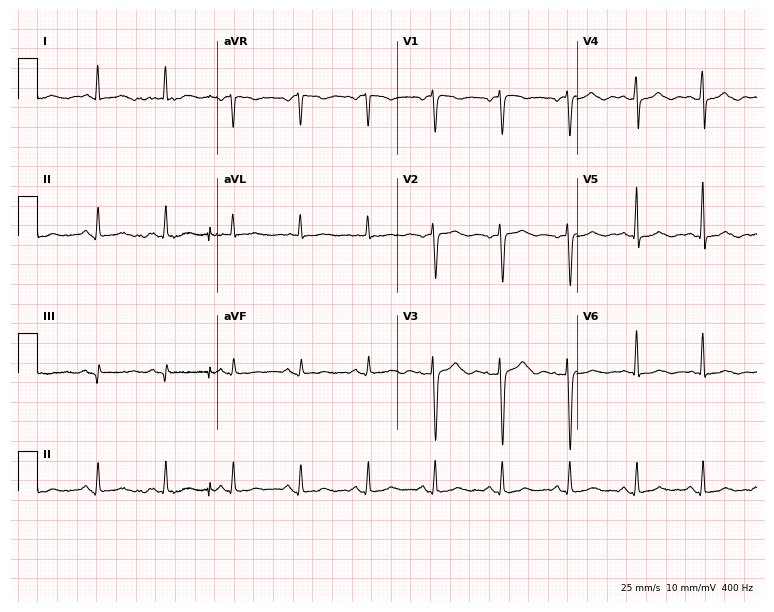
ECG (7.3-second recording at 400 Hz) — a female, 64 years old. Screened for six findings — first-degree AV block, right bundle branch block, left bundle branch block, sinus bradycardia, atrial fibrillation, sinus tachycardia — none is recorded. Findings outside these six are not listed.